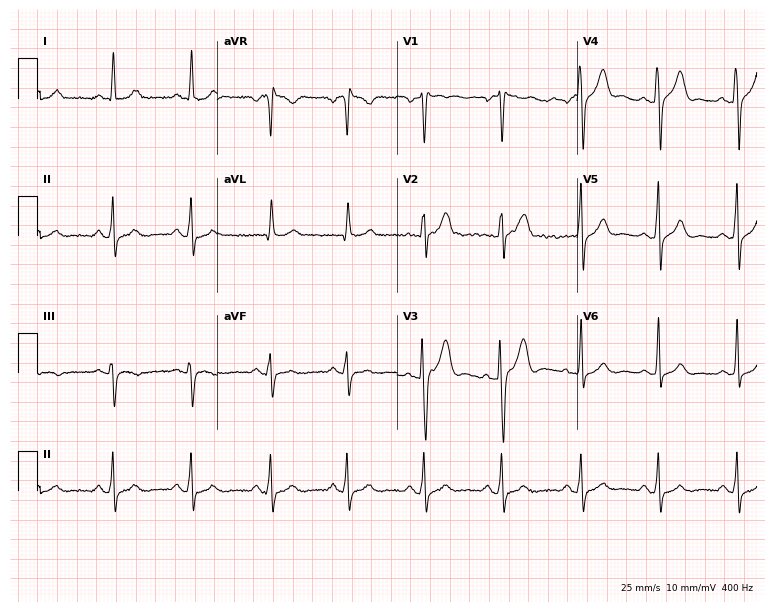
ECG — a male, 51 years old. Labelled as a normal ECG.